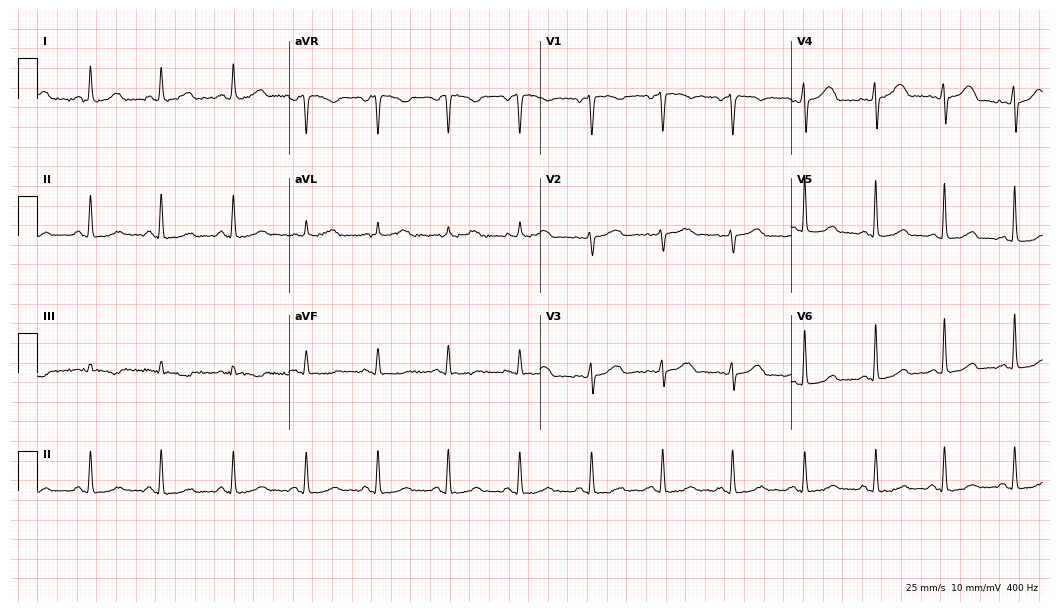
Standard 12-lead ECG recorded from a 37-year-old female patient. None of these six findings is recorded: first-degree AV block, right bundle branch block, left bundle branch block, sinus bradycardia, atrial fibrillation, sinus tachycardia. Other findings, if any, are not listed.